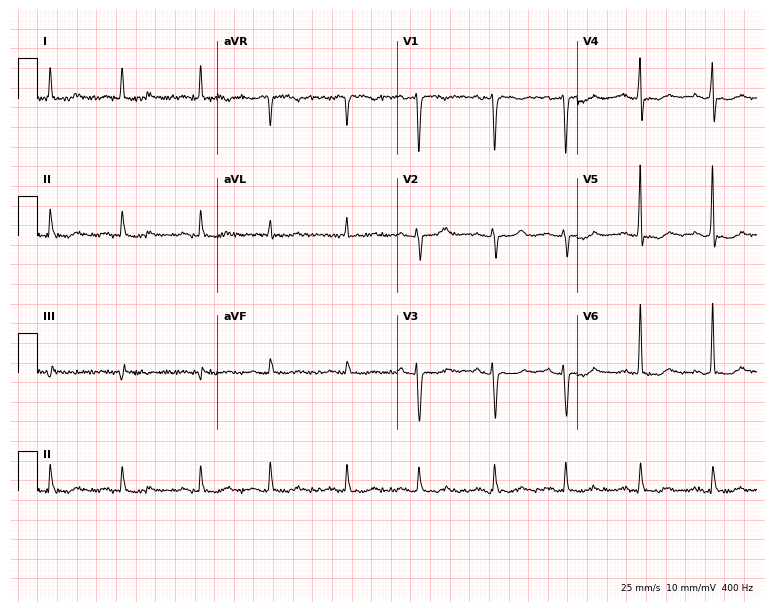
12-lead ECG from an 80-year-old woman (7.3-second recording at 400 Hz). Recorded interpretation: within normal limits.